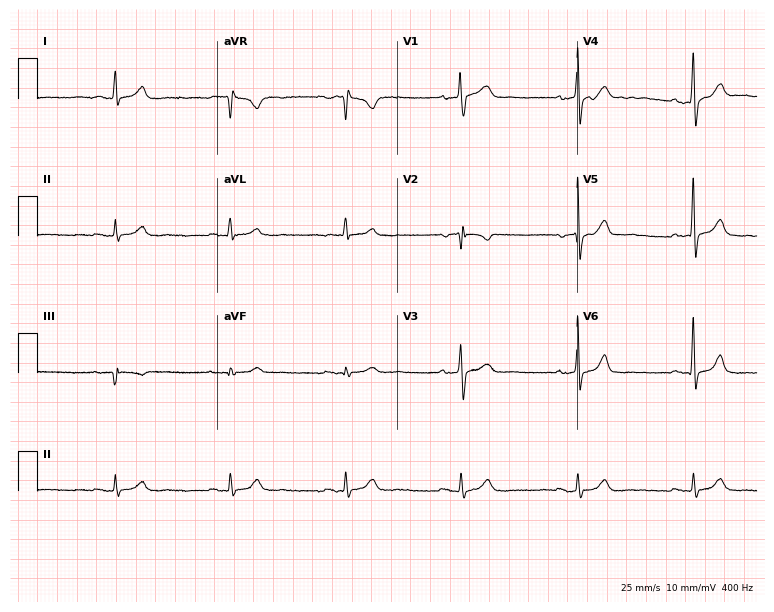
Electrocardiogram, a man, 58 years old. Overall reading on record: normal ECG.